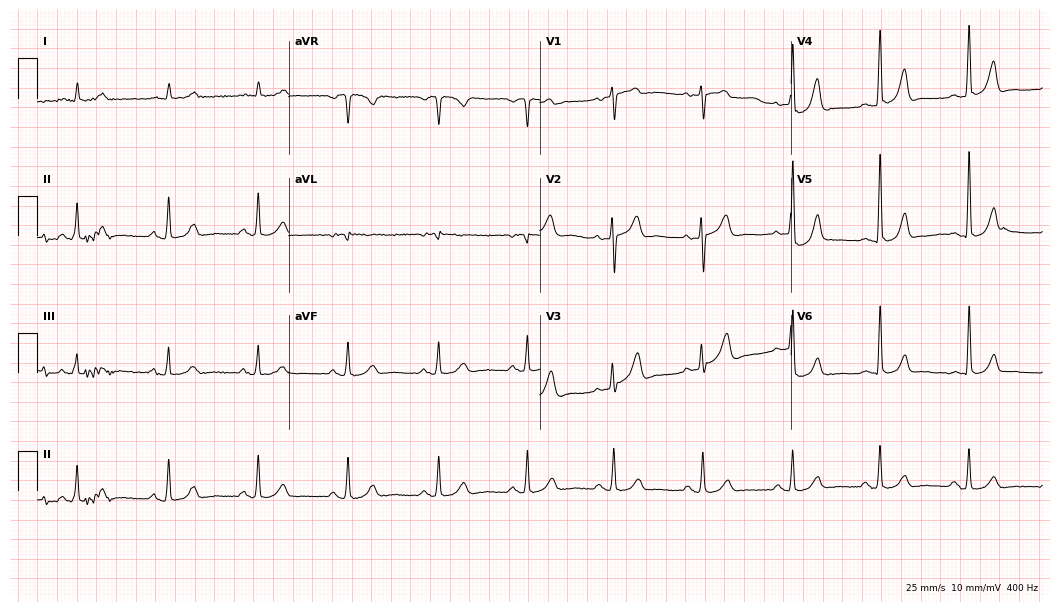
12-lead ECG from a male patient, 70 years old. Recorded interpretation: within normal limits.